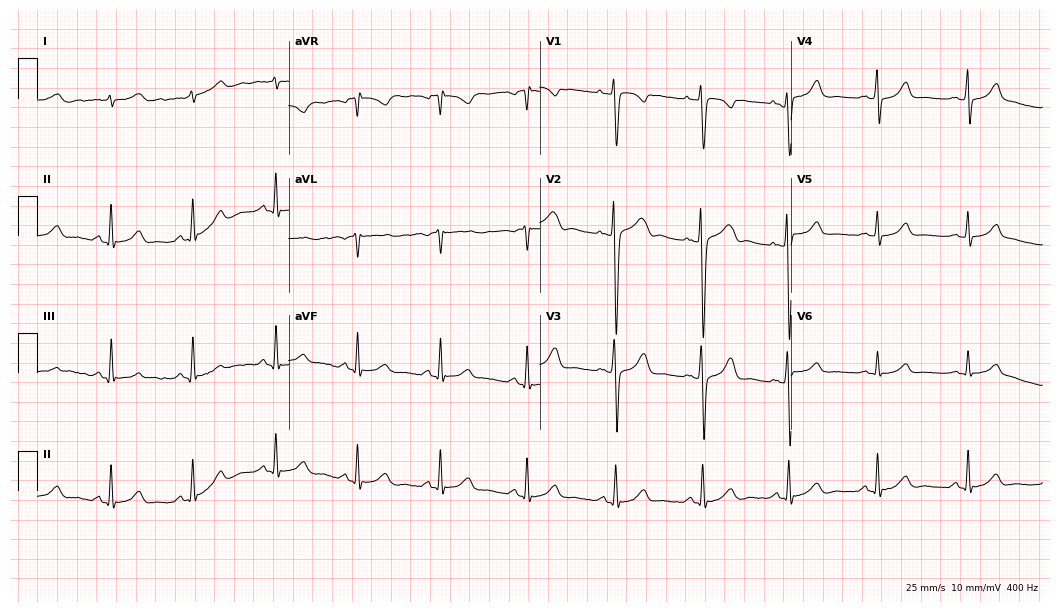
ECG — a male, 27 years old. Labelled as a normal ECG.